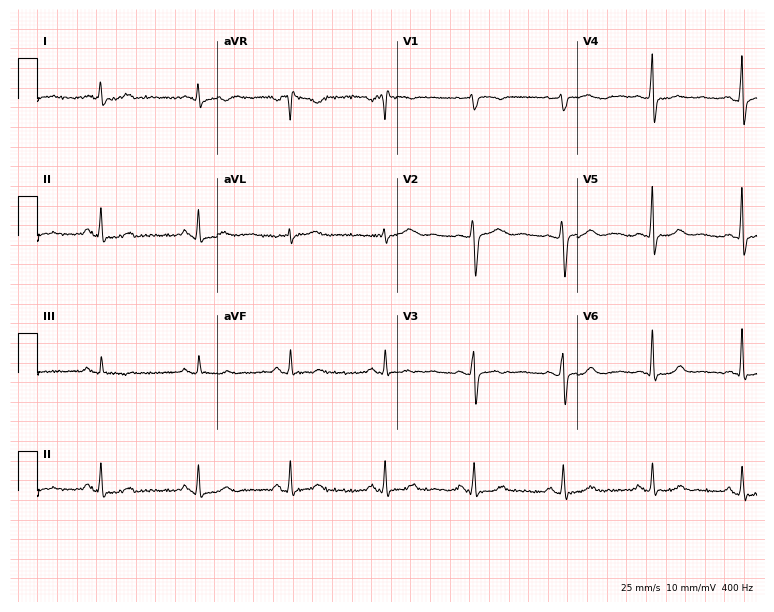
Standard 12-lead ECG recorded from a woman, 37 years old. Read as a normal ECG.